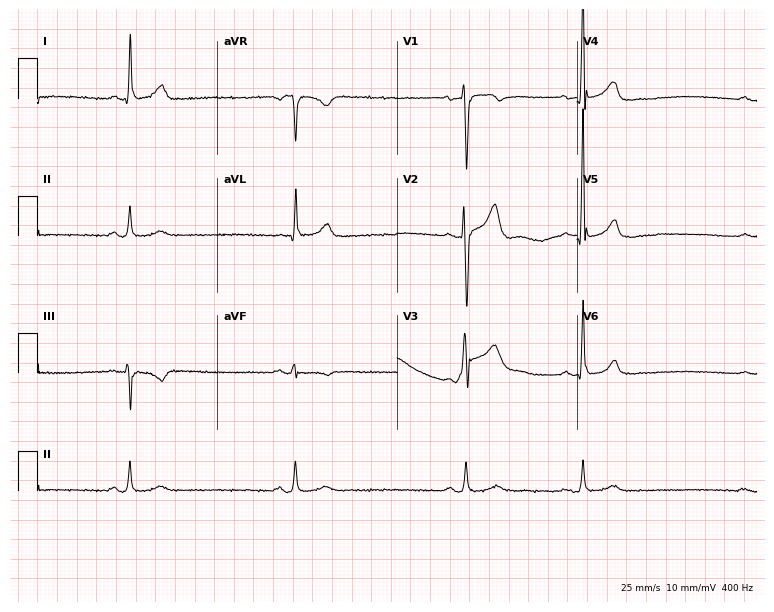
12-lead ECG from a 72-year-old man. Shows sinus bradycardia (a sinus rate of 50 beats per minute or less).